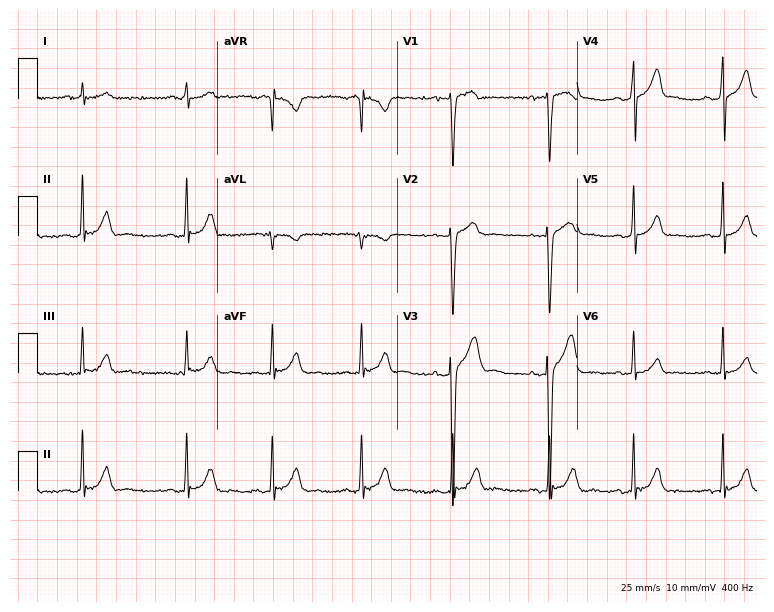
12-lead ECG from a 24-year-old male. Labelled as a normal ECG.